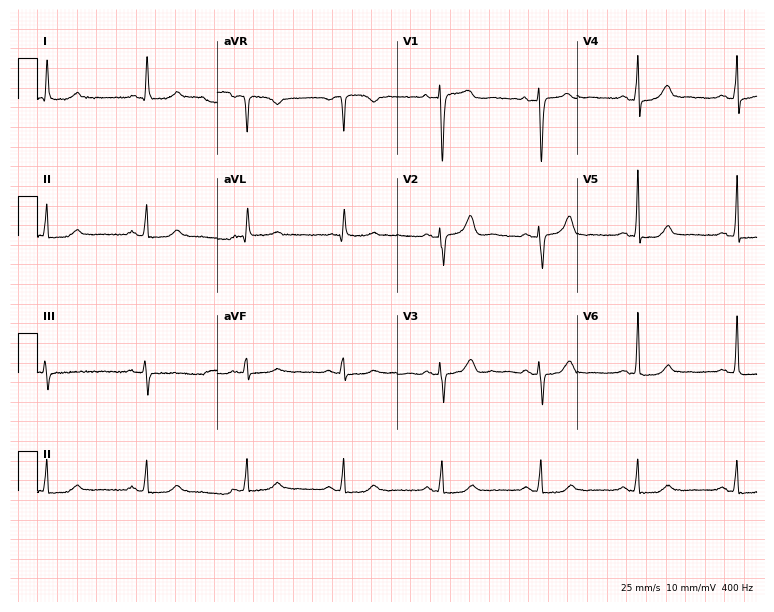
ECG (7.3-second recording at 400 Hz) — a 64-year-old woman. Screened for six findings — first-degree AV block, right bundle branch block, left bundle branch block, sinus bradycardia, atrial fibrillation, sinus tachycardia — none is recorded.